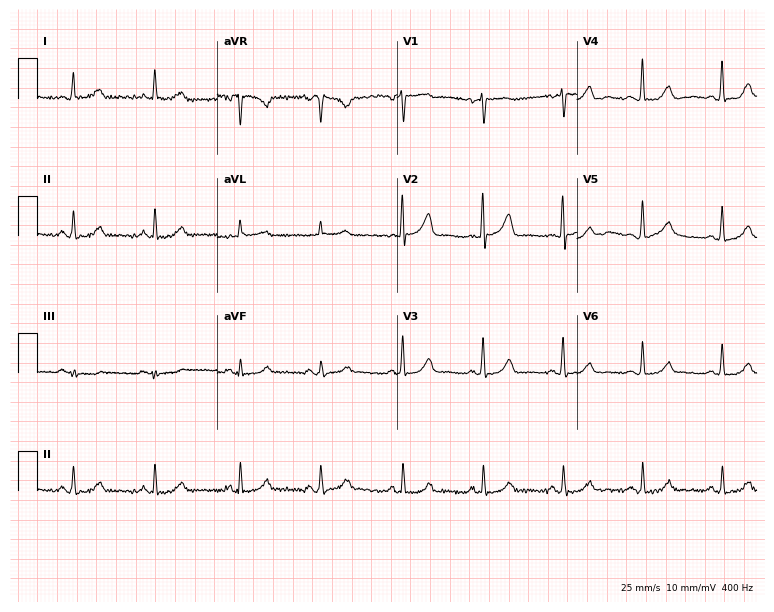
Electrocardiogram, a woman, 66 years old. Overall reading on record: normal ECG.